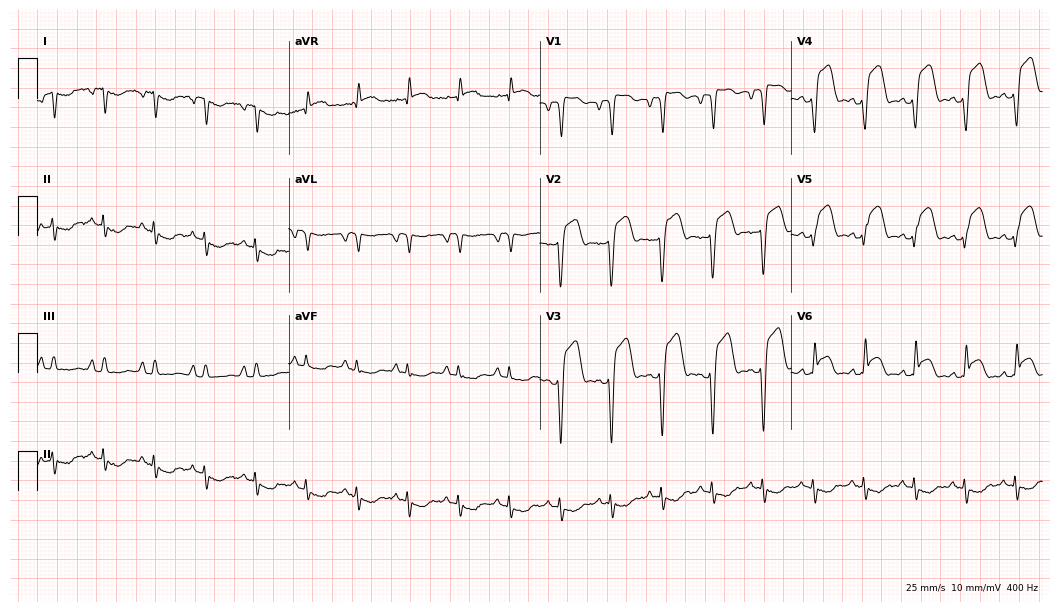
12-lead ECG from a 79-year-old male. Findings include sinus tachycardia (a sinus rate of 100 beats per minute or more).